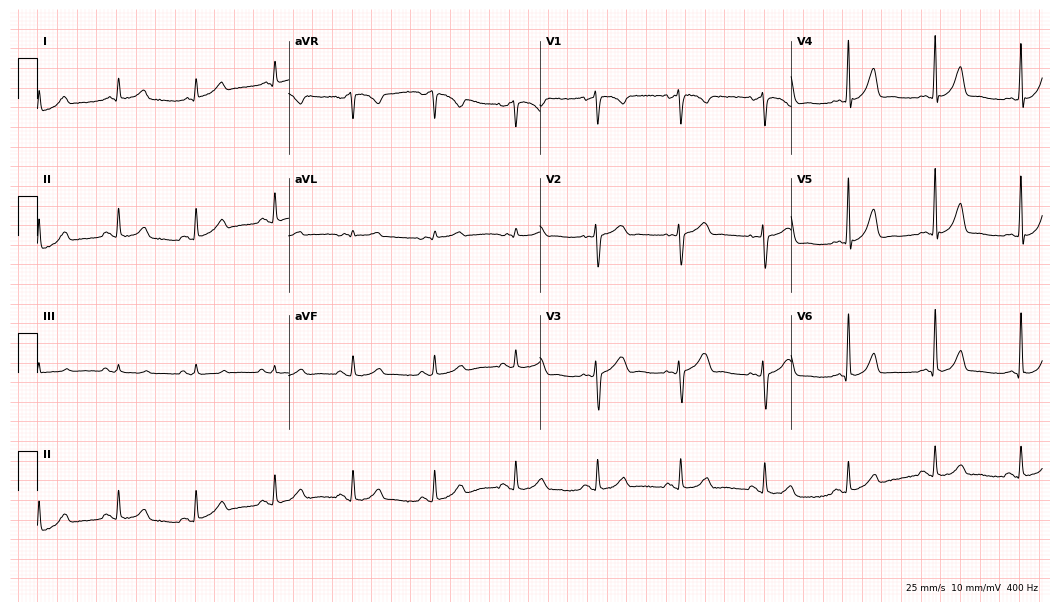
12-lead ECG from a 49-year-old woman (10.2-second recording at 400 Hz). Recorded interpretation: within normal limits.